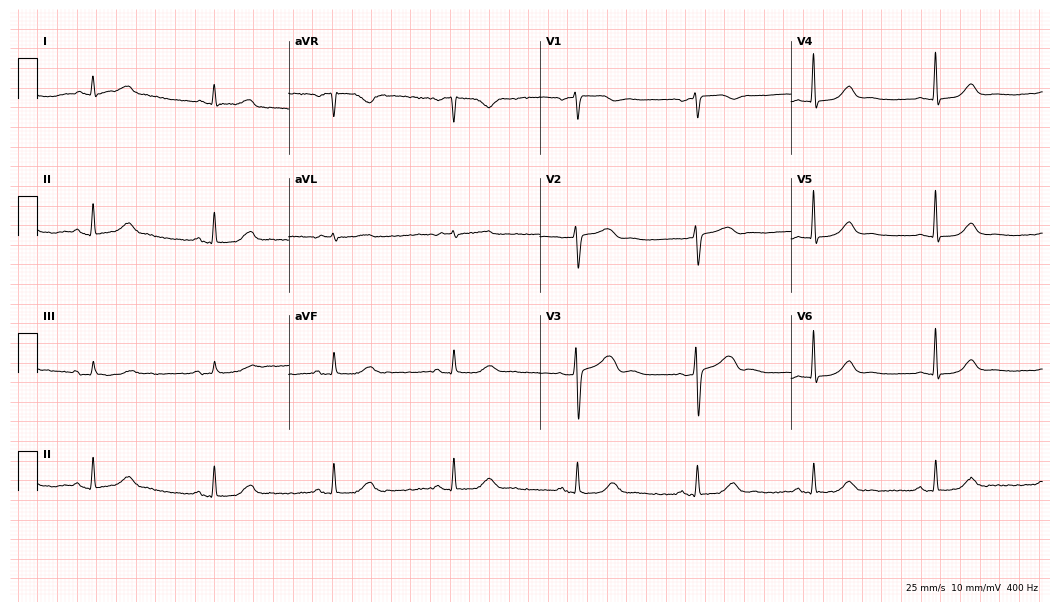
Standard 12-lead ECG recorded from a 65-year-old female patient (10.2-second recording at 400 Hz). The tracing shows sinus bradycardia (a sinus rate of 50 beats per minute or less).